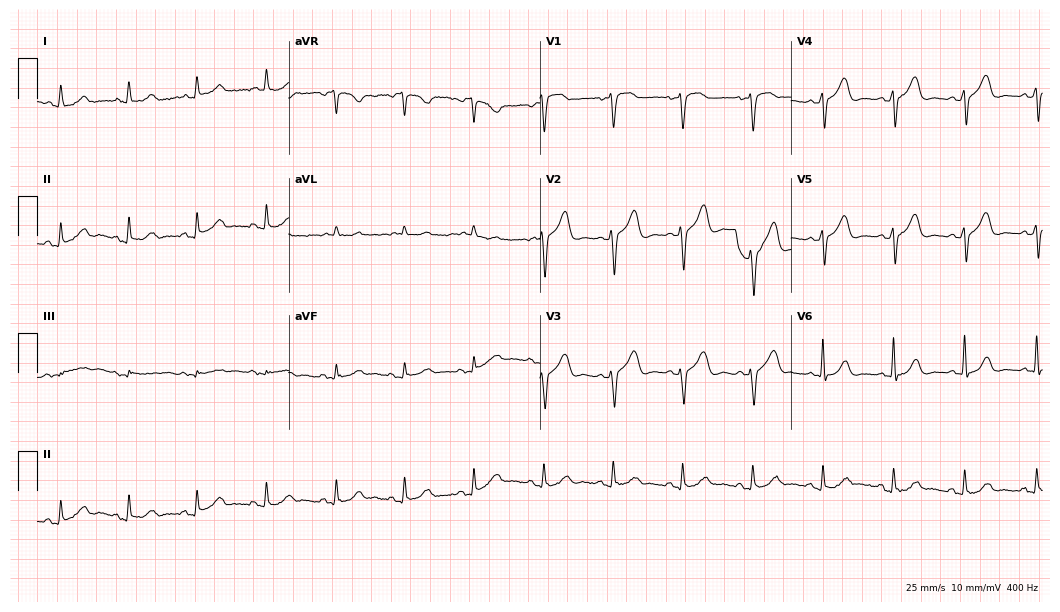
Standard 12-lead ECG recorded from a 70-year-old woman. Read as a normal ECG.